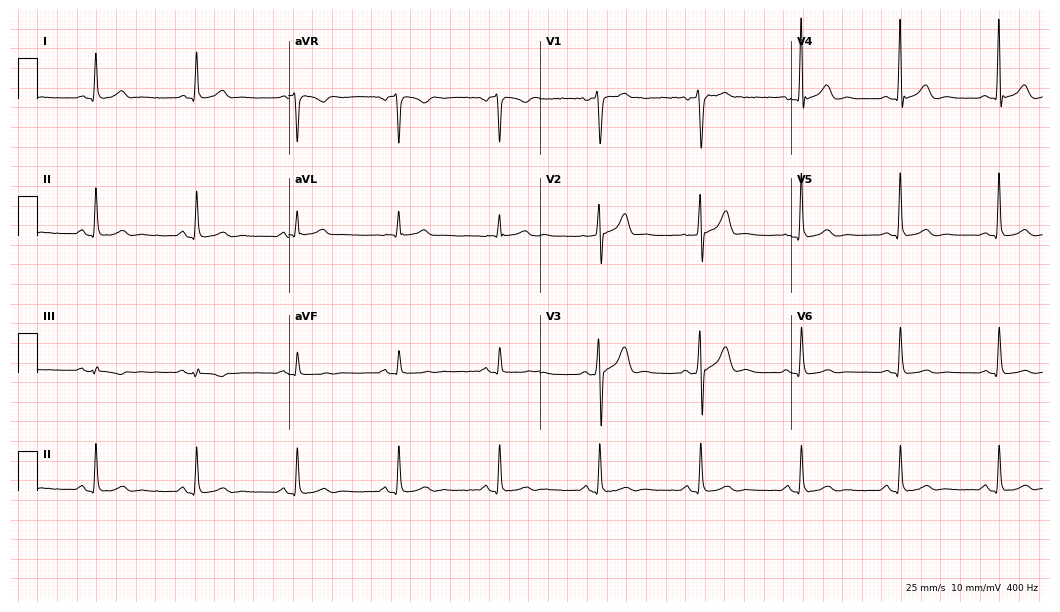
Resting 12-lead electrocardiogram (10.2-second recording at 400 Hz). Patient: a 59-year-old male. Read as a normal ECG.